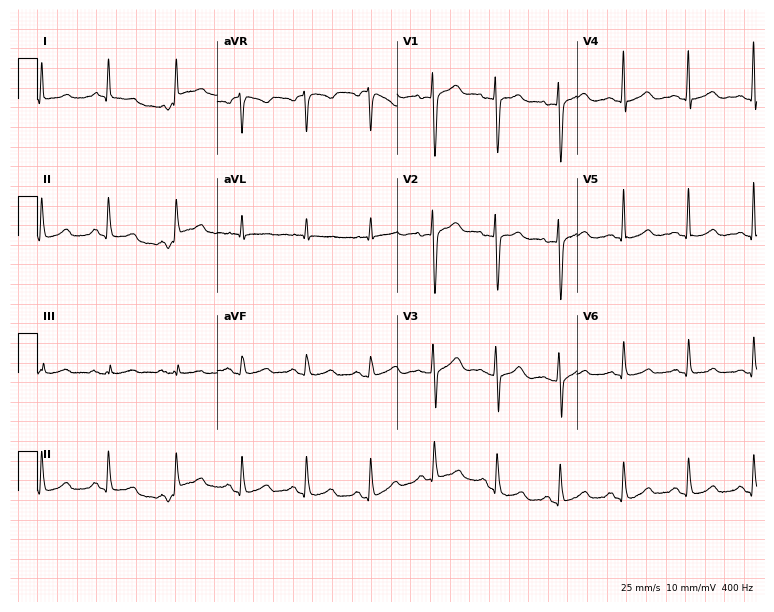
ECG (7.3-second recording at 400 Hz) — a female patient, 41 years old. Labelled as a normal ECG.